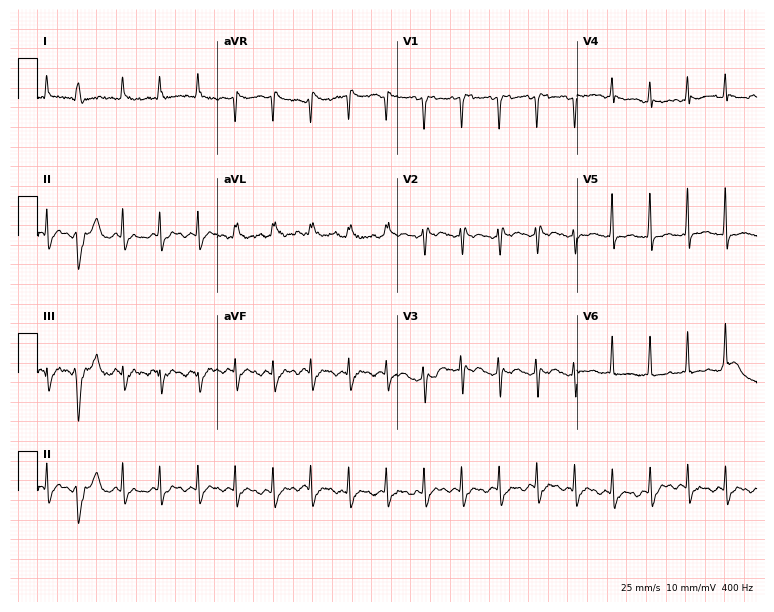
Standard 12-lead ECG recorded from a man, 79 years old. None of these six findings is recorded: first-degree AV block, right bundle branch block, left bundle branch block, sinus bradycardia, atrial fibrillation, sinus tachycardia.